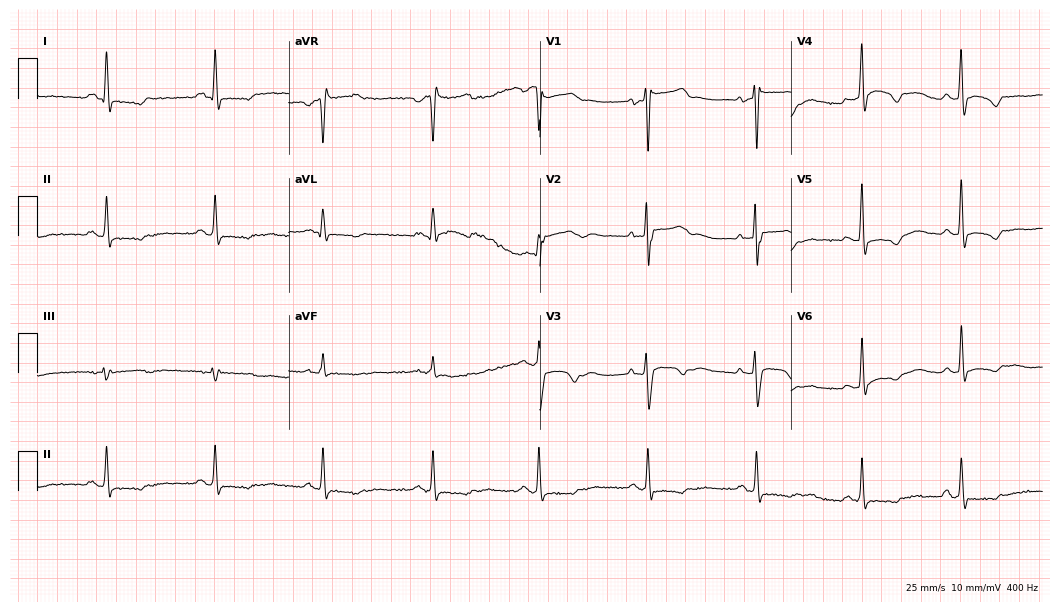
Resting 12-lead electrocardiogram. Patient: an 81-year-old female. None of these six findings is recorded: first-degree AV block, right bundle branch block, left bundle branch block, sinus bradycardia, atrial fibrillation, sinus tachycardia.